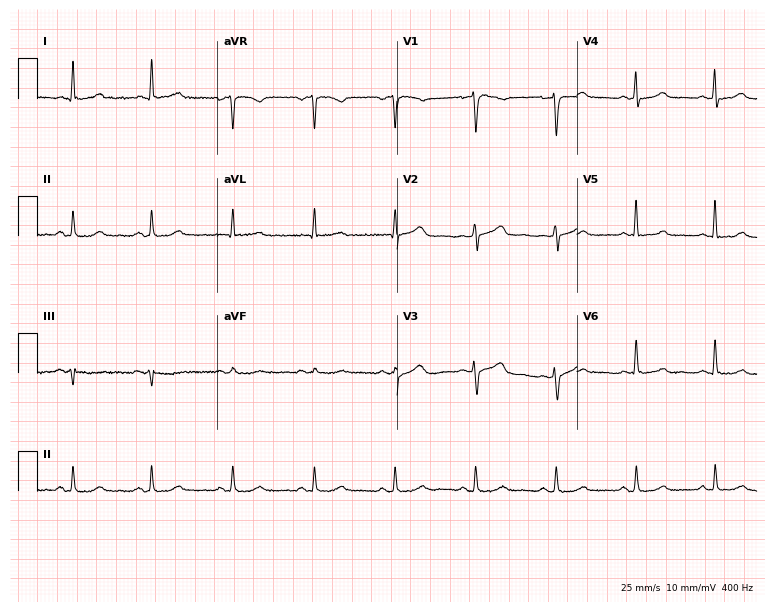
Electrocardiogram, a 50-year-old female patient. Overall reading on record: normal ECG.